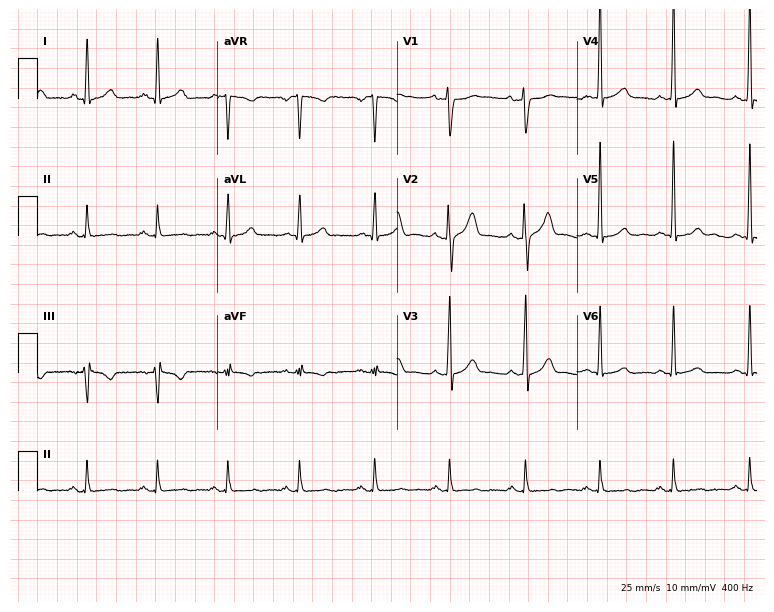
Electrocardiogram (7.3-second recording at 400 Hz), a male, 27 years old. Of the six screened findings (first-degree AV block, right bundle branch block, left bundle branch block, sinus bradycardia, atrial fibrillation, sinus tachycardia), none is recorded.